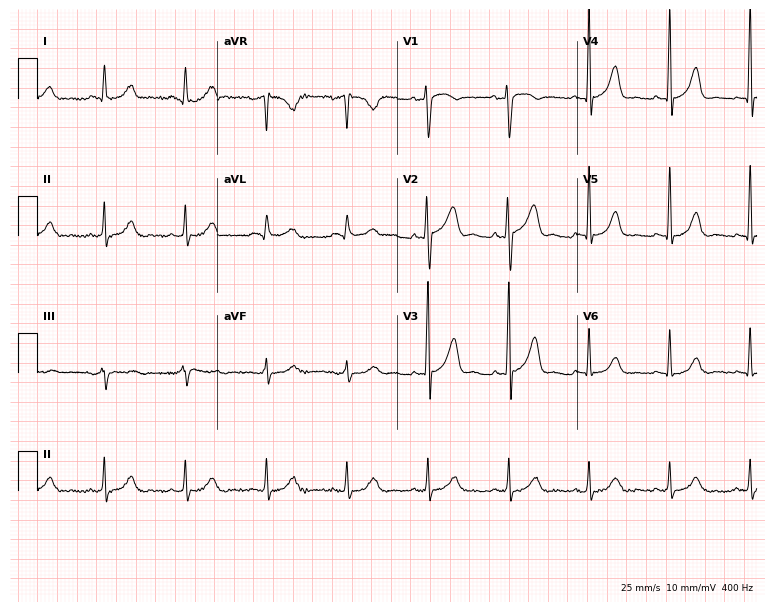
Resting 12-lead electrocardiogram (7.3-second recording at 400 Hz). Patient: a 60-year-old man. Read as a normal ECG.